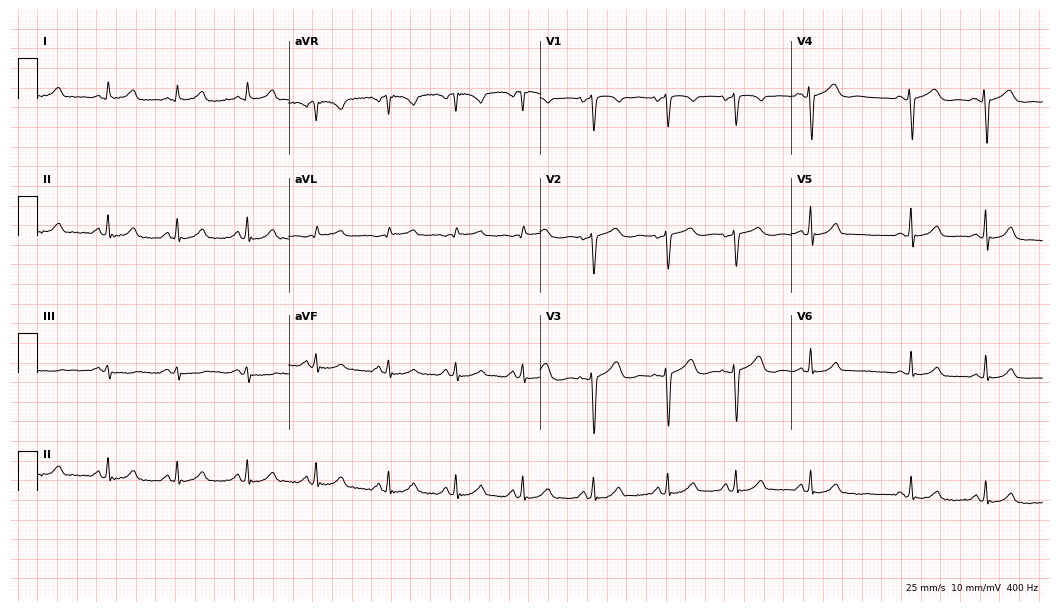
Resting 12-lead electrocardiogram (10.2-second recording at 400 Hz). Patient: a 36-year-old woman. None of these six findings is recorded: first-degree AV block, right bundle branch block, left bundle branch block, sinus bradycardia, atrial fibrillation, sinus tachycardia.